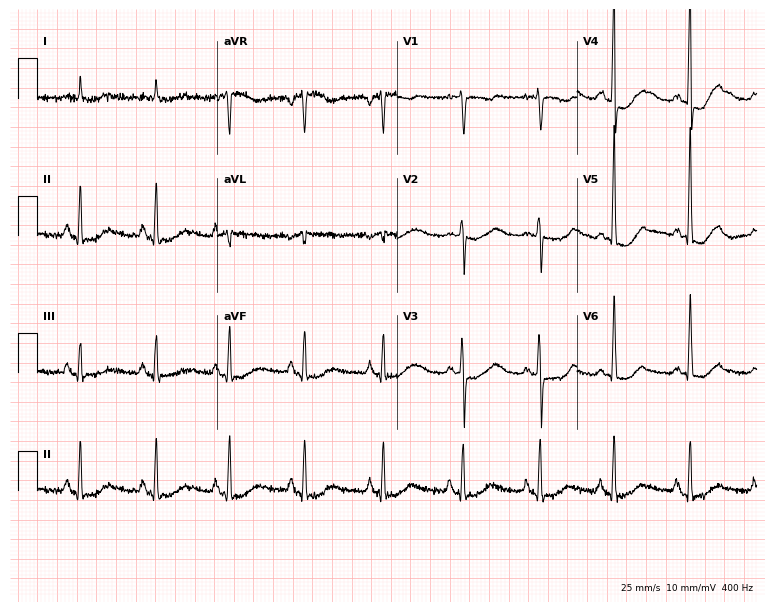
ECG — a 70-year-old female patient. Screened for six findings — first-degree AV block, right bundle branch block, left bundle branch block, sinus bradycardia, atrial fibrillation, sinus tachycardia — none is recorded. Other findings, if any, are not listed.